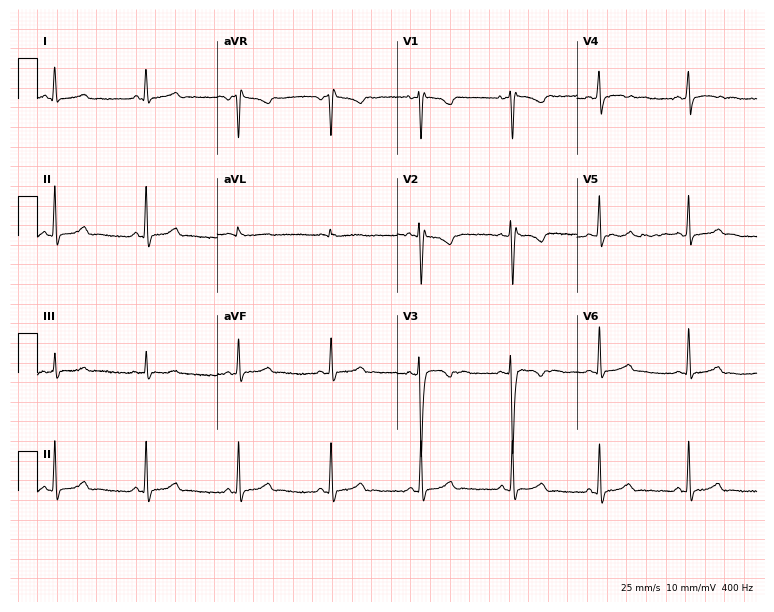
Standard 12-lead ECG recorded from a 17-year-old female (7.3-second recording at 400 Hz). Read as a normal ECG.